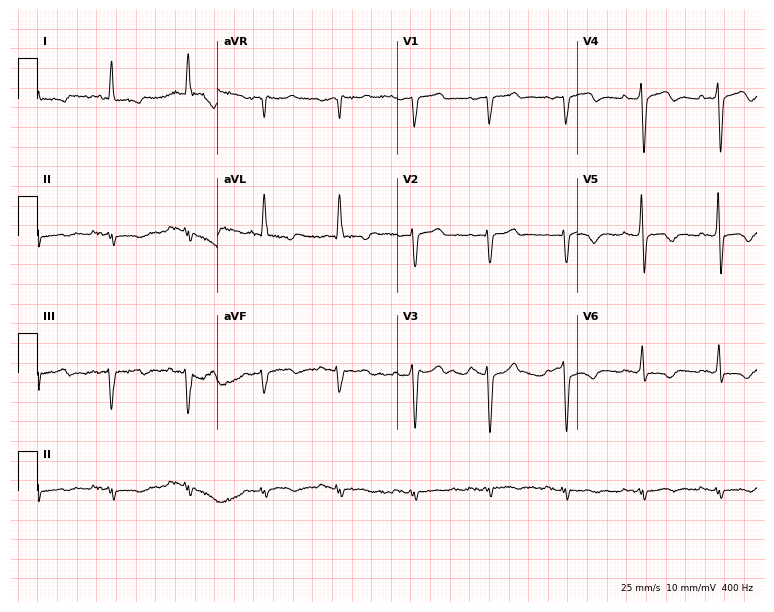
Resting 12-lead electrocardiogram. Patient: a male, 68 years old. None of these six findings is recorded: first-degree AV block, right bundle branch block (RBBB), left bundle branch block (LBBB), sinus bradycardia, atrial fibrillation (AF), sinus tachycardia.